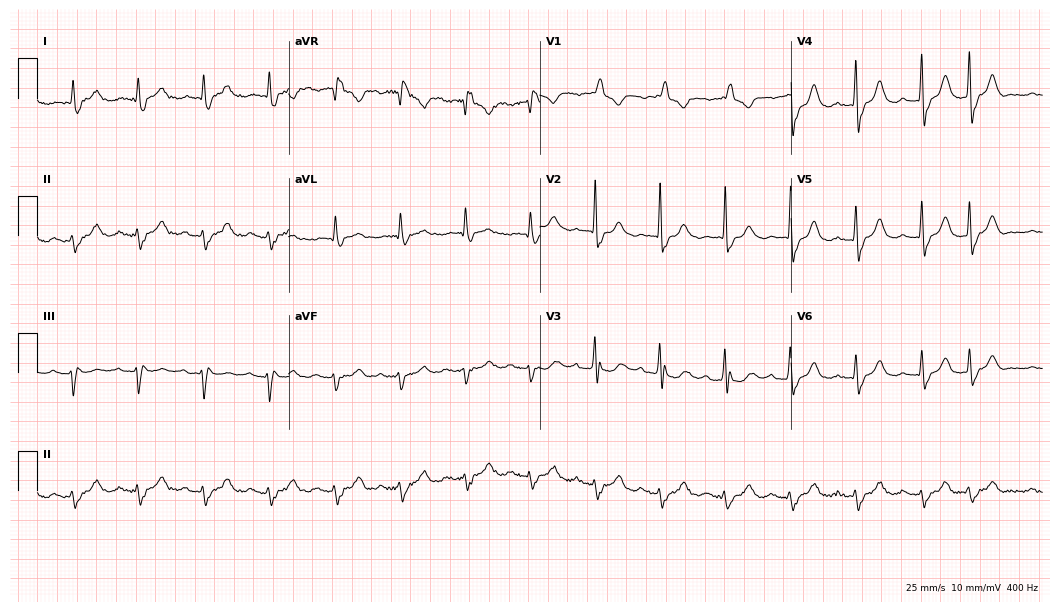
Electrocardiogram, a man, 79 years old. Interpretation includes right bundle branch block (RBBB).